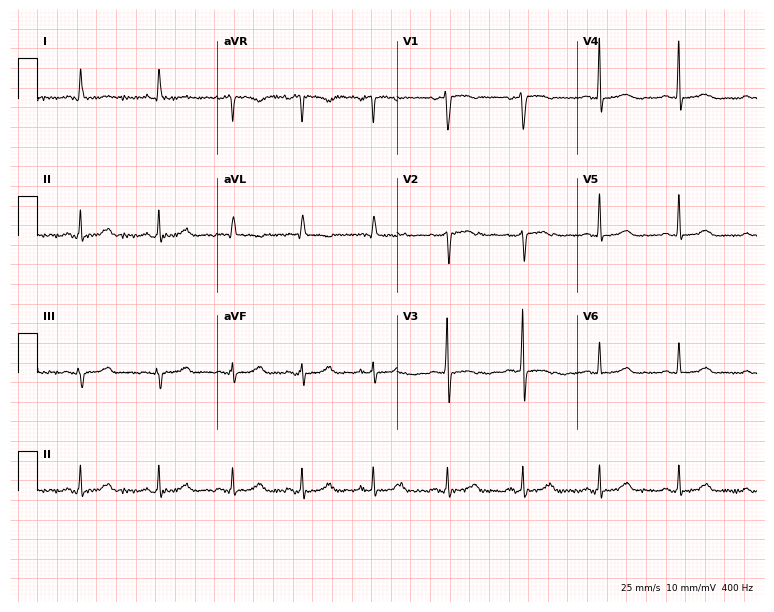
ECG — a 45-year-old woman. Labelled as a normal ECG.